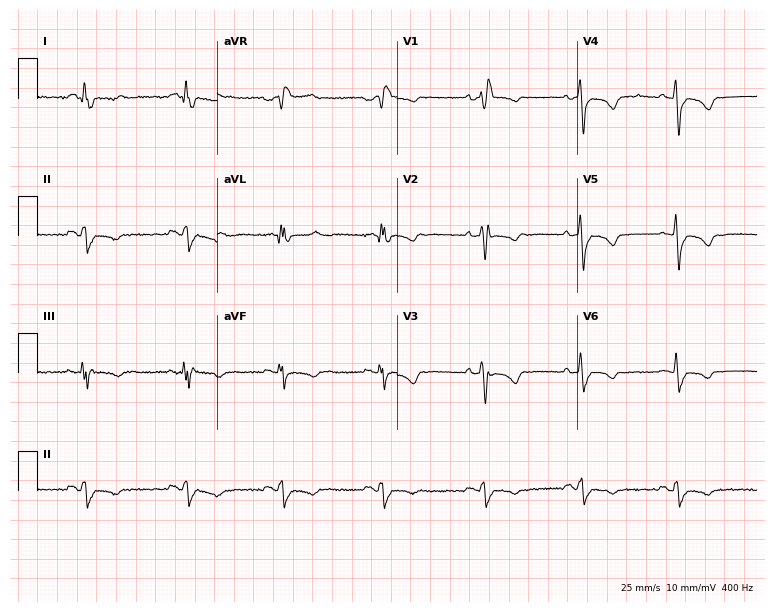
12-lead ECG from a female patient, 65 years old (7.3-second recording at 400 Hz). No first-degree AV block, right bundle branch block, left bundle branch block, sinus bradycardia, atrial fibrillation or sinus tachycardia recorded for this tracing.